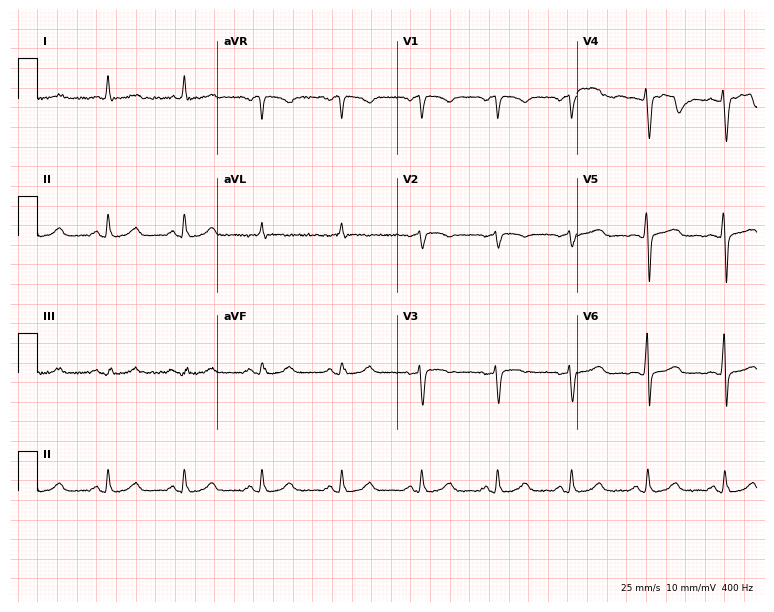
ECG (7.3-second recording at 400 Hz) — a 50-year-old female. Labelled as a normal ECG.